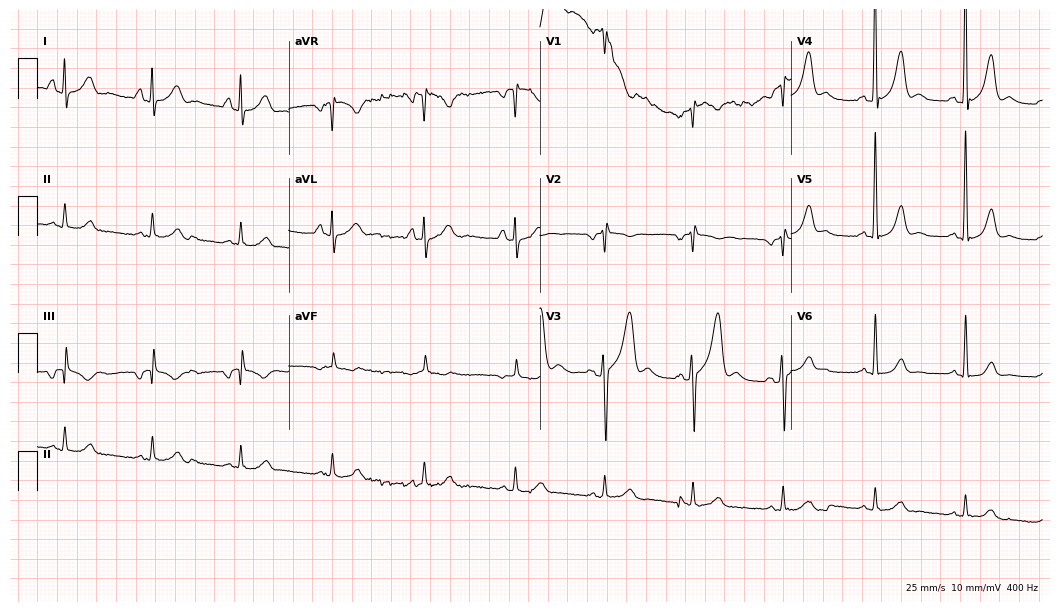
ECG — a female patient, 68 years old. Screened for six findings — first-degree AV block, right bundle branch block, left bundle branch block, sinus bradycardia, atrial fibrillation, sinus tachycardia — none is recorded.